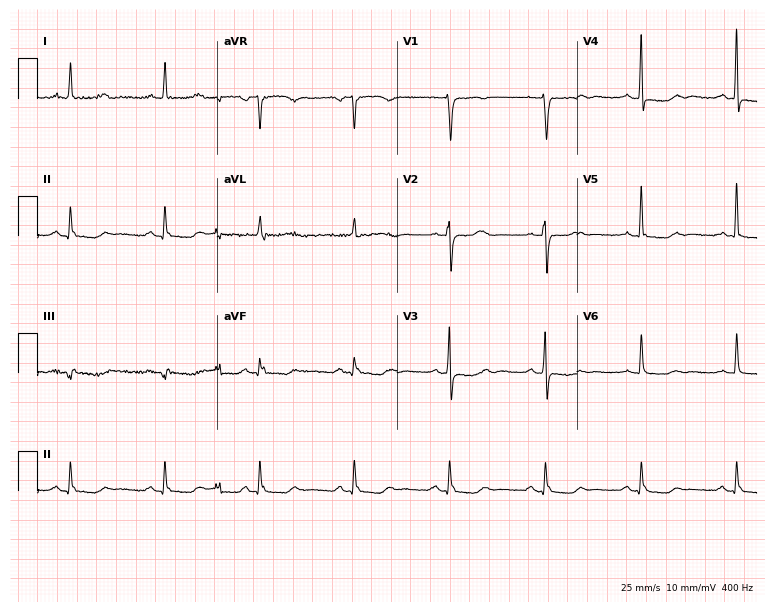
12-lead ECG from a 71-year-old female. No first-degree AV block, right bundle branch block, left bundle branch block, sinus bradycardia, atrial fibrillation or sinus tachycardia recorded for this tracing.